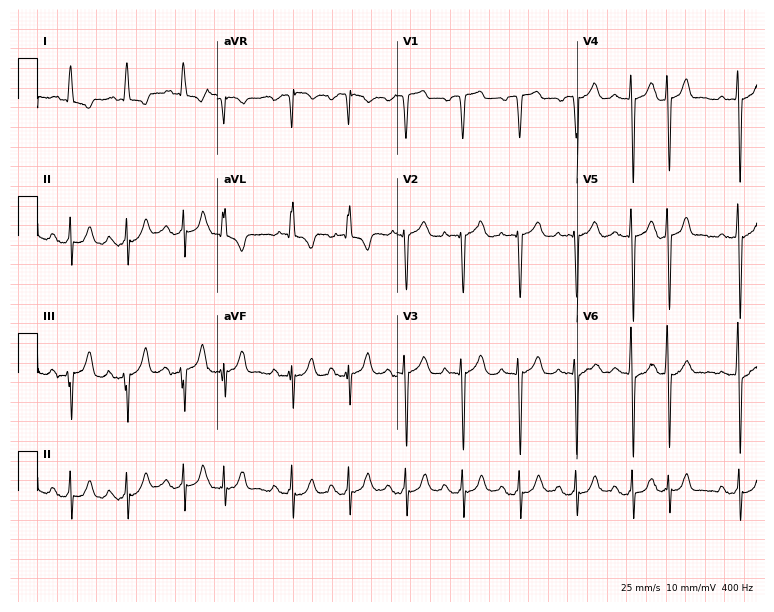
Standard 12-lead ECG recorded from a male patient, 67 years old (7.3-second recording at 400 Hz). The tracing shows sinus tachycardia (a sinus rate of 100 beats per minute or more).